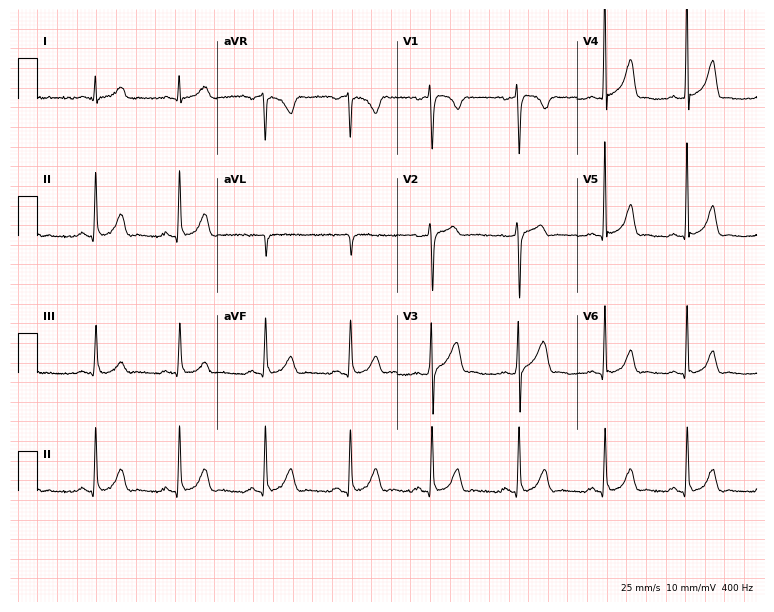
Electrocardiogram (7.3-second recording at 400 Hz), a man, 26 years old. Overall reading on record: normal ECG.